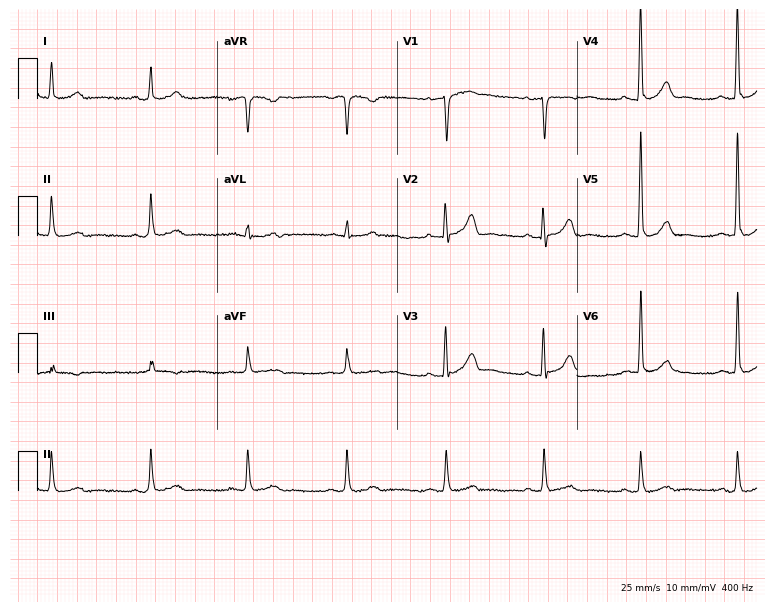
12-lead ECG from a man, 56 years old (7.3-second recording at 400 Hz). Recorded interpretation: within normal limits.